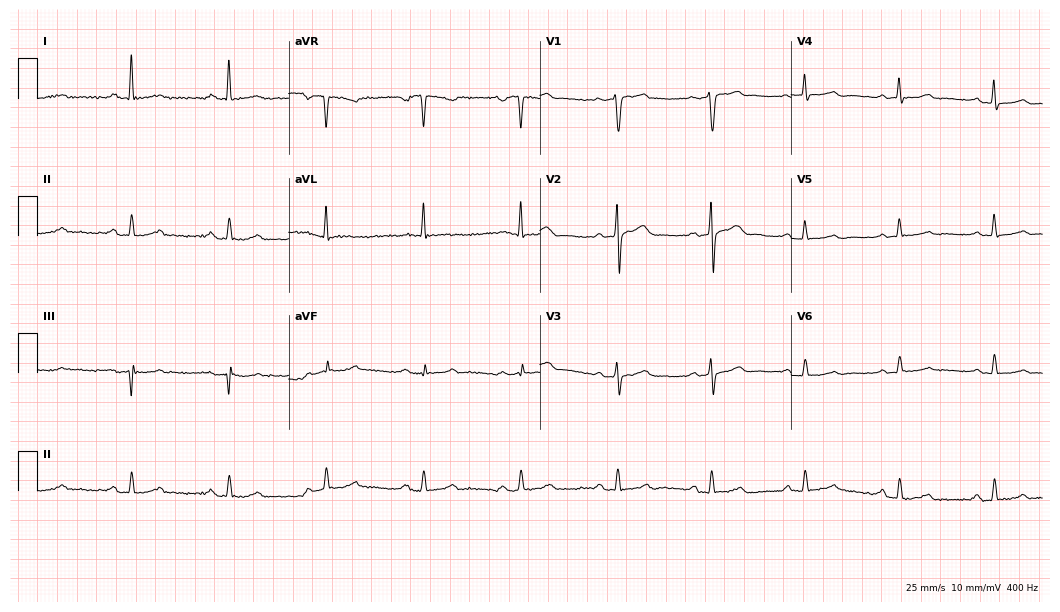
Standard 12-lead ECG recorded from a 67-year-old man. Read as a normal ECG.